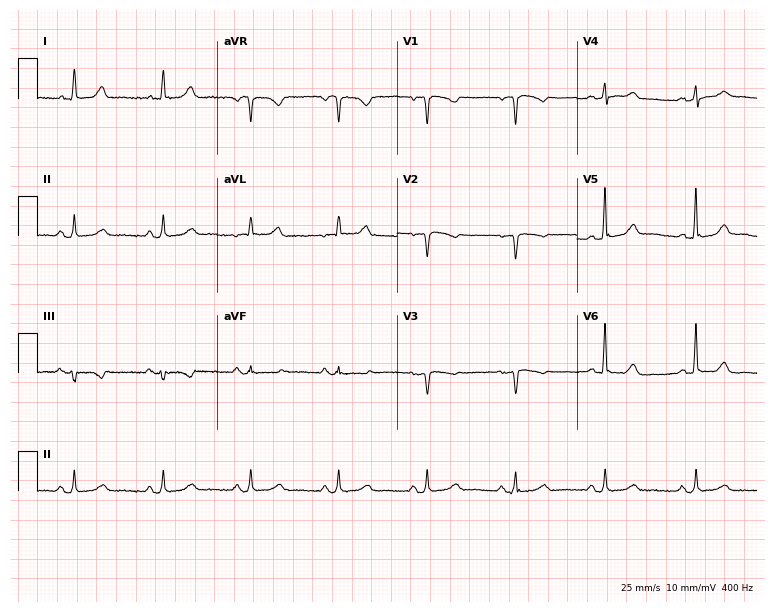
ECG (7.3-second recording at 400 Hz) — a woman, 70 years old. Labelled as a normal ECG.